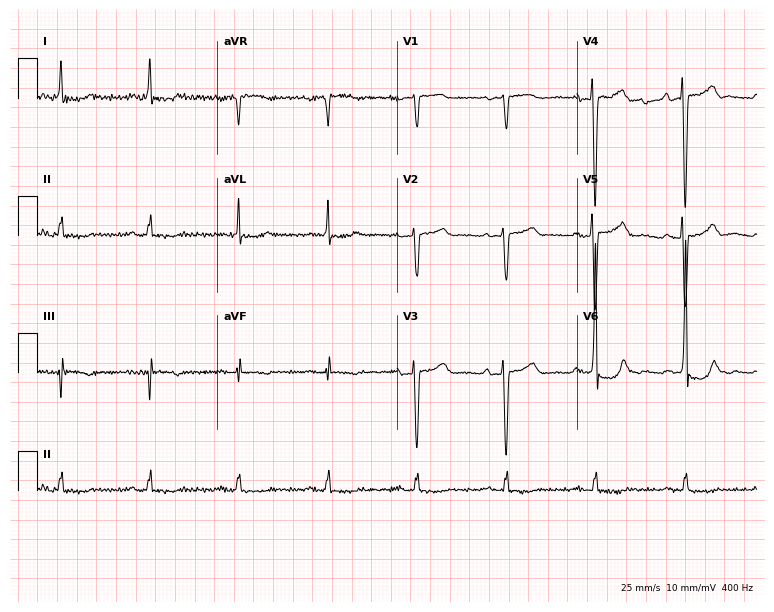
12-lead ECG from a man, 66 years old. No first-degree AV block, right bundle branch block (RBBB), left bundle branch block (LBBB), sinus bradycardia, atrial fibrillation (AF) or sinus tachycardia recorded for this tracing.